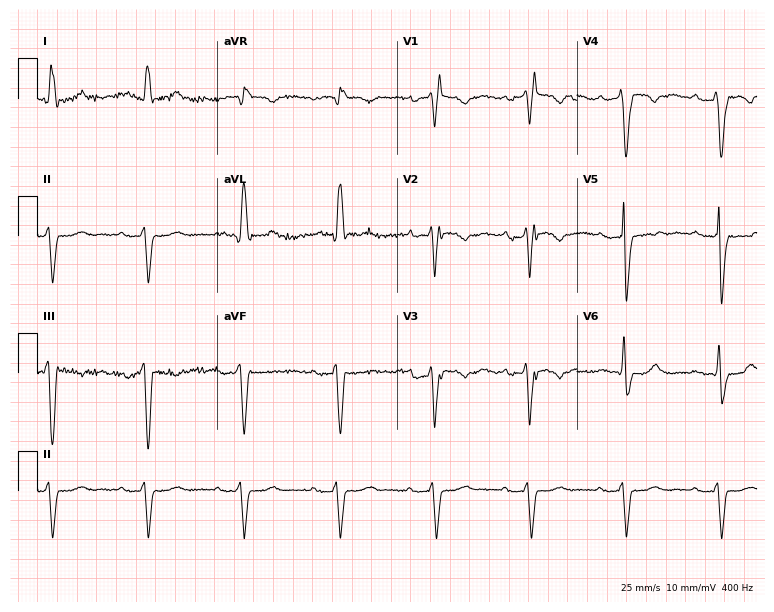
Standard 12-lead ECG recorded from an 85-year-old male patient. The tracing shows first-degree AV block, right bundle branch block (RBBB).